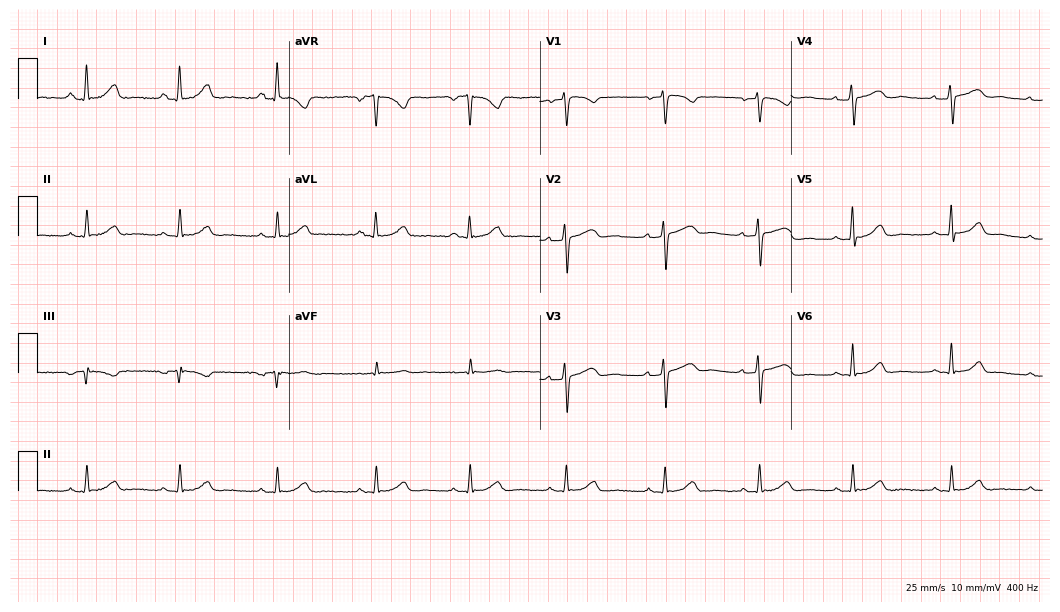
Resting 12-lead electrocardiogram (10.2-second recording at 400 Hz). Patient: a 41-year-old female. Read as a normal ECG.